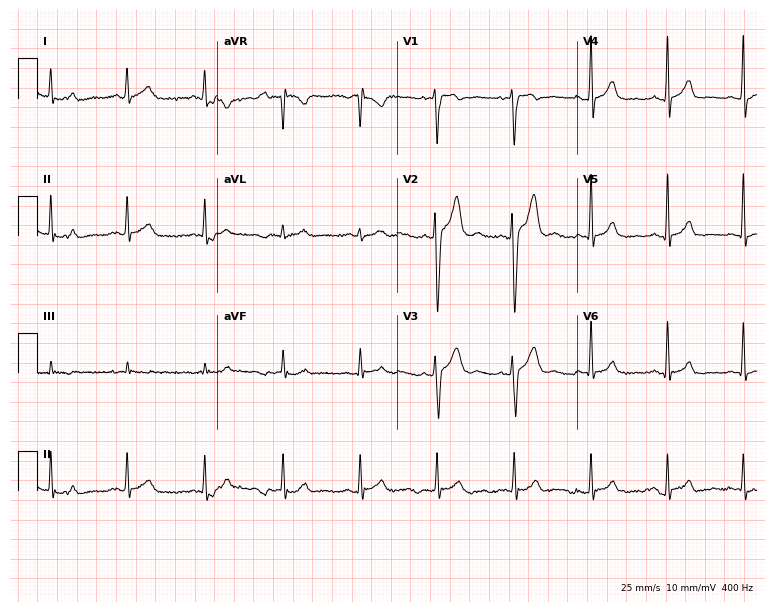
ECG — a 26-year-old male. Labelled as a normal ECG.